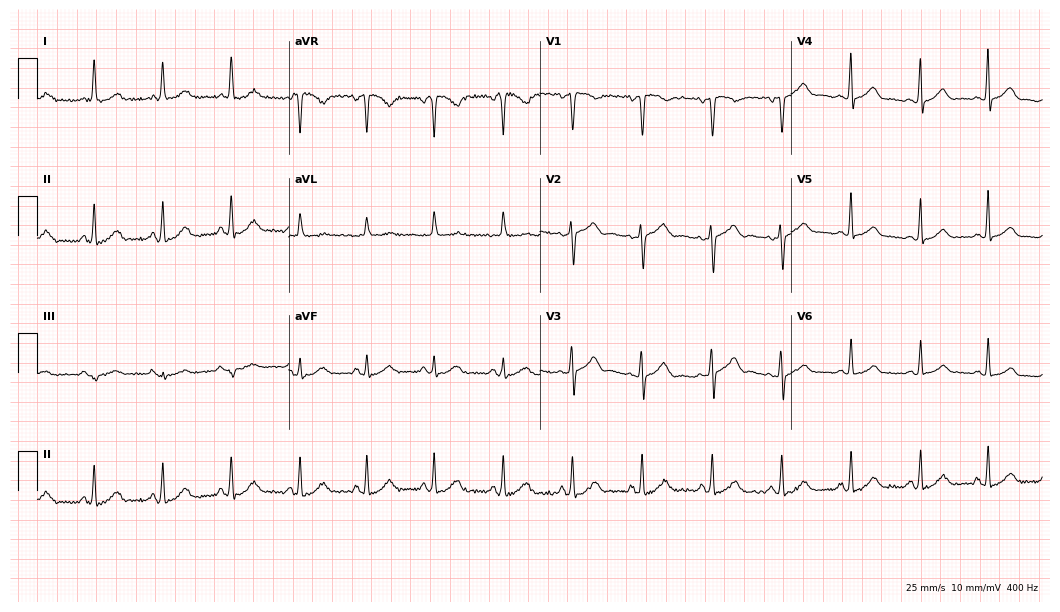
Electrocardiogram, a female patient, 41 years old. Overall reading on record: normal ECG.